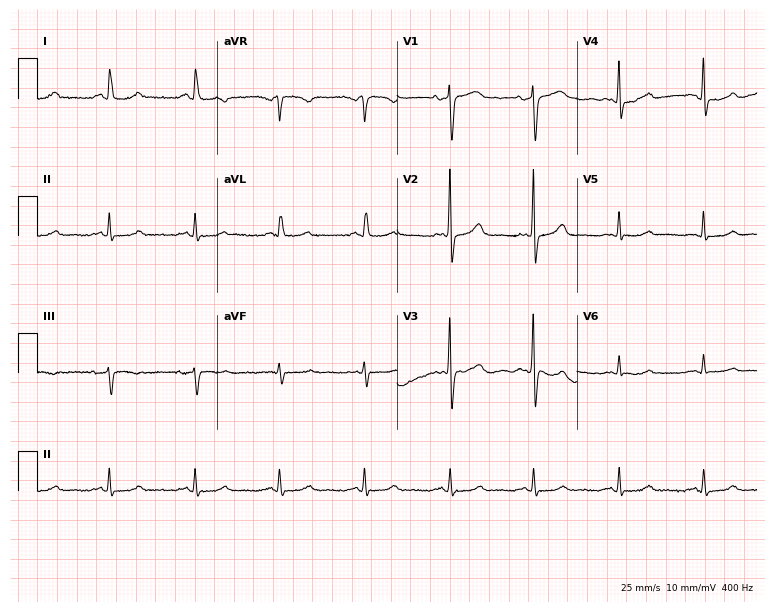
Resting 12-lead electrocardiogram. Patient: a 71-year-old female. None of these six findings is recorded: first-degree AV block, right bundle branch block, left bundle branch block, sinus bradycardia, atrial fibrillation, sinus tachycardia.